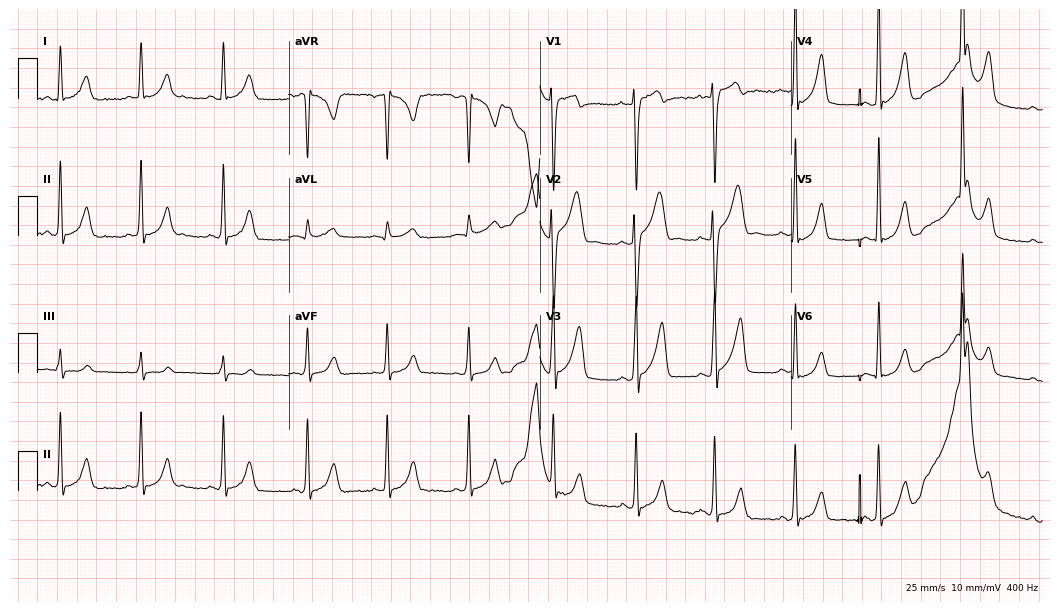
12-lead ECG from a 20-year-old male. Labelled as a normal ECG.